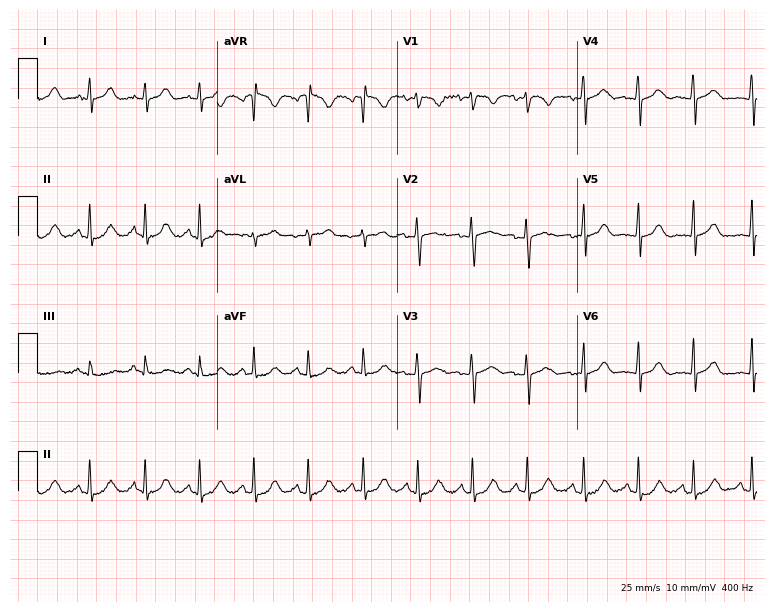
12-lead ECG (7.3-second recording at 400 Hz) from a 22-year-old female. Findings include sinus tachycardia (a sinus rate of 100 beats per minute or more).